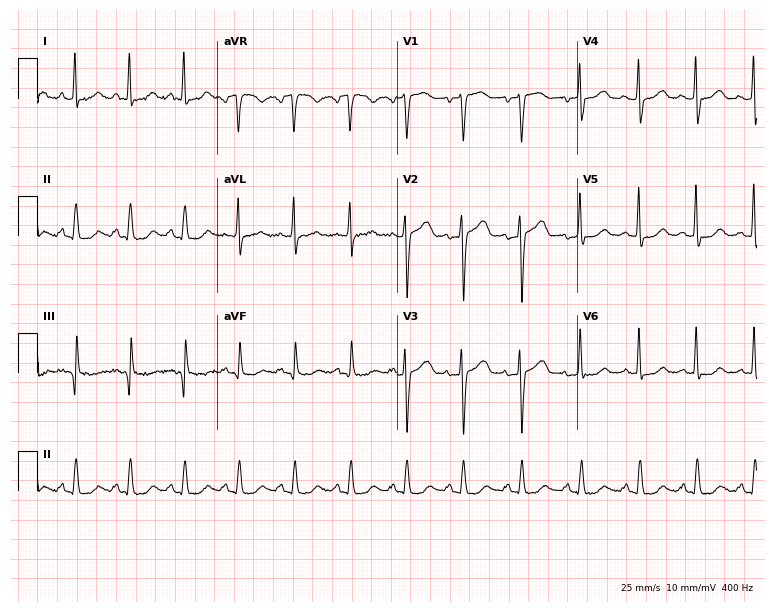
12-lead ECG (7.3-second recording at 400 Hz) from a 59-year-old female patient. Findings include sinus tachycardia (a sinus rate of 100 beats per minute or more).